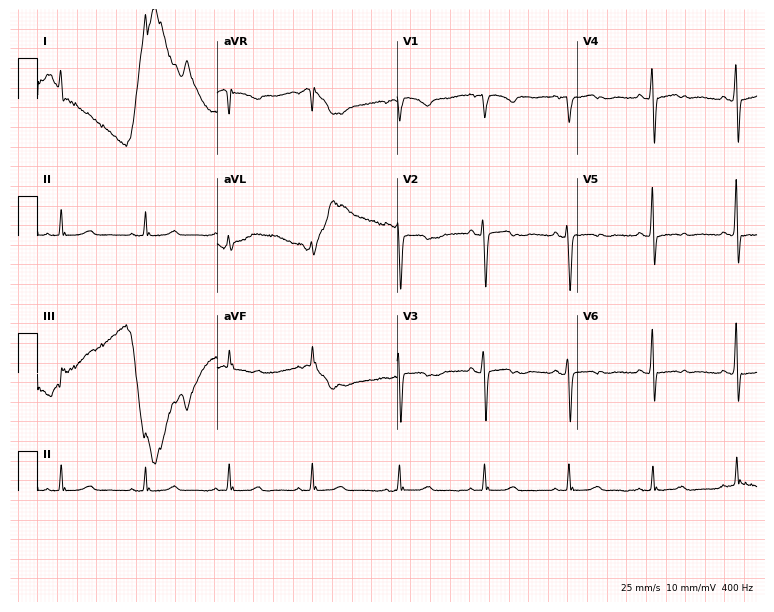
Resting 12-lead electrocardiogram. Patient: an 84-year-old woman. None of these six findings is recorded: first-degree AV block, right bundle branch block, left bundle branch block, sinus bradycardia, atrial fibrillation, sinus tachycardia.